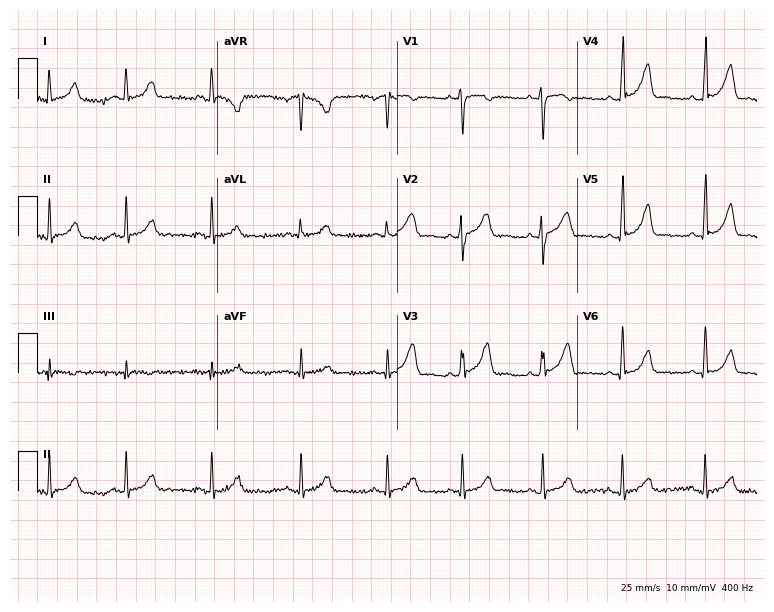
12-lead ECG from a woman, 23 years old. Recorded interpretation: within normal limits.